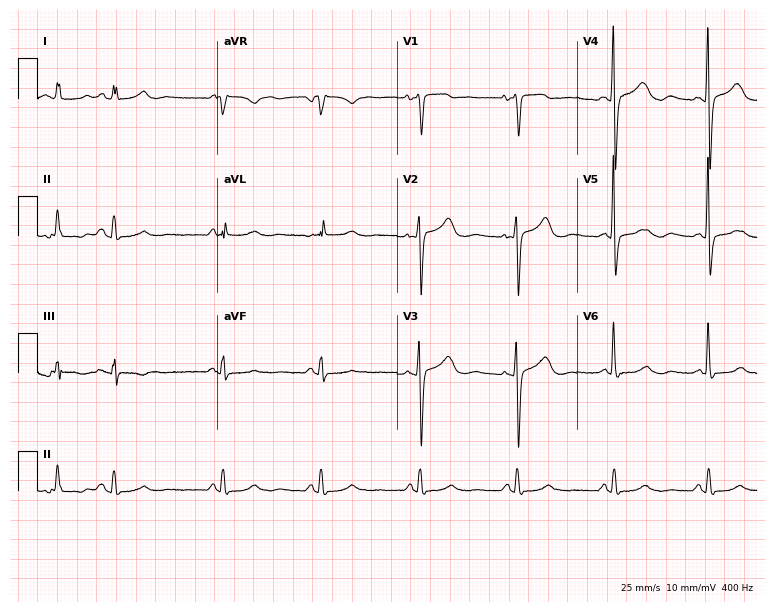
Resting 12-lead electrocardiogram (7.3-second recording at 400 Hz). Patient: a 69-year-old female. None of these six findings is recorded: first-degree AV block, right bundle branch block (RBBB), left bundle branch block (LBBB), sinus bradycardia, atrial fibrillation (AF), sinus tachycardia. Only these six findings were labelled.